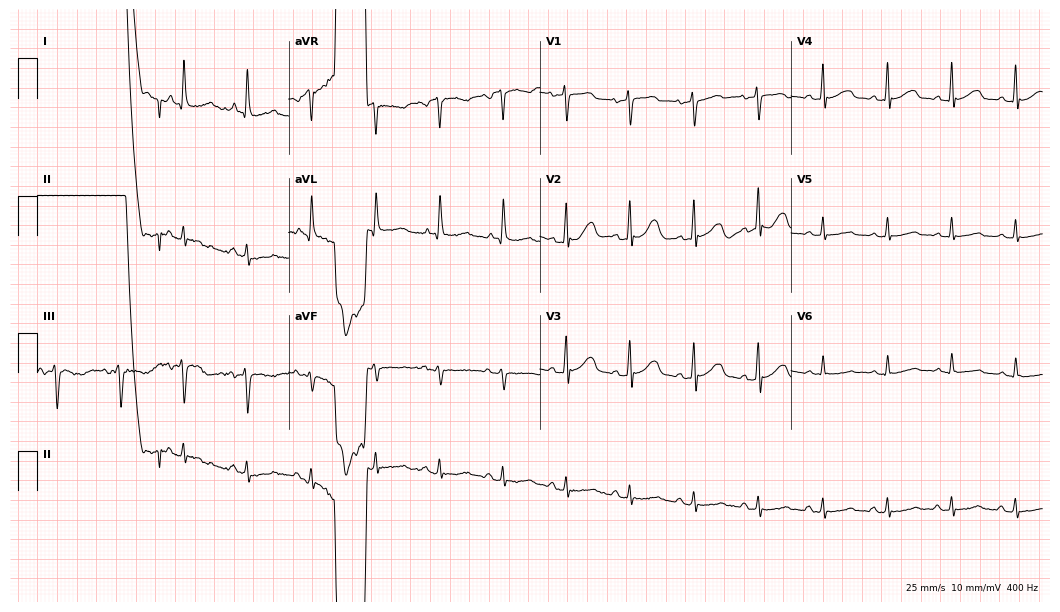
Electrocardiogram (10.2-second recording at 400 Hz), a 65-year-old woman. Overall reading on record: normal ECG.